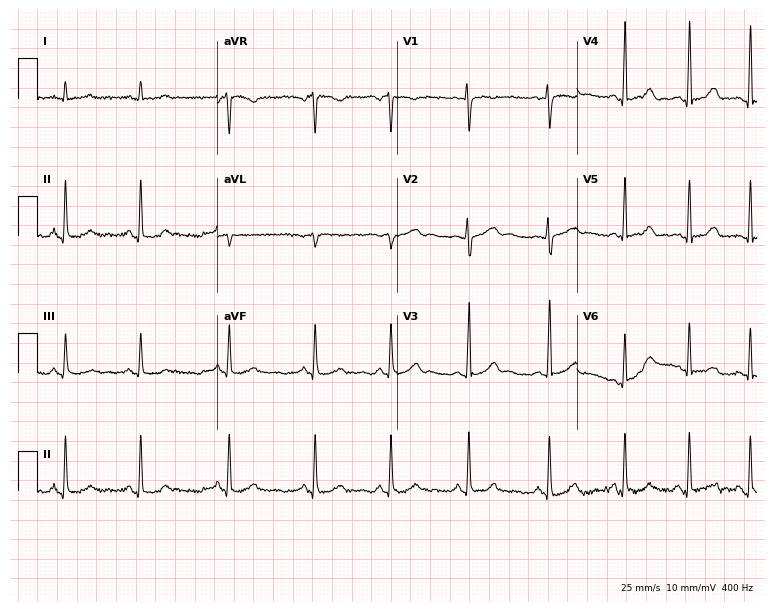
ECG (7.3-second recording at 400 Hz) — a female, 23 years old. Screened for six findings — first-degree AV block, right bundle branch block, left bundle branch block, sinus bradycardia, atrial fibrillation, sinus tachycardia — none is recorded.